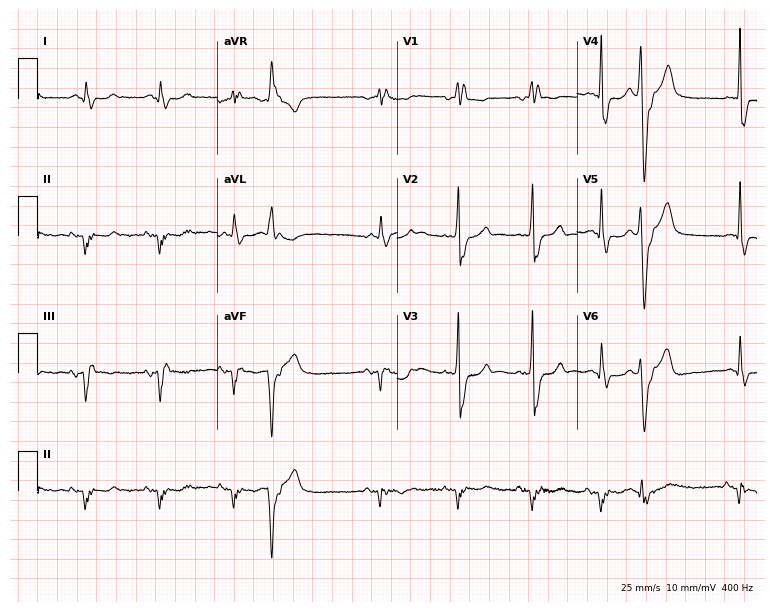
12-lead ECG from an 81-year-old male. Shows right bundle branch block.